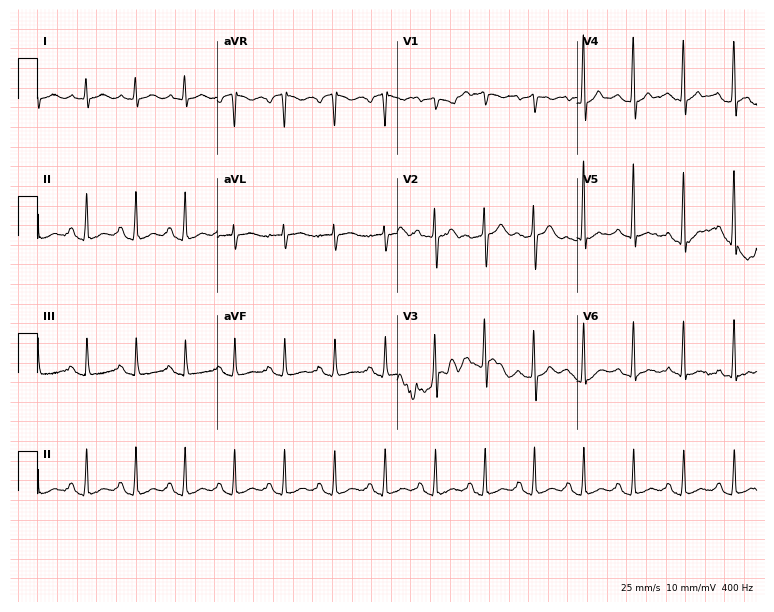
12-lead ECG from a 51-year-old male (7.3-second recording at 400 Hz). No first-degree AV block, right bundle branch block, left bundle branch block, sinus bradycardia, atrial fibrillation or sinus tachycardia recorded for this tracing. Only these six findings were labelled.